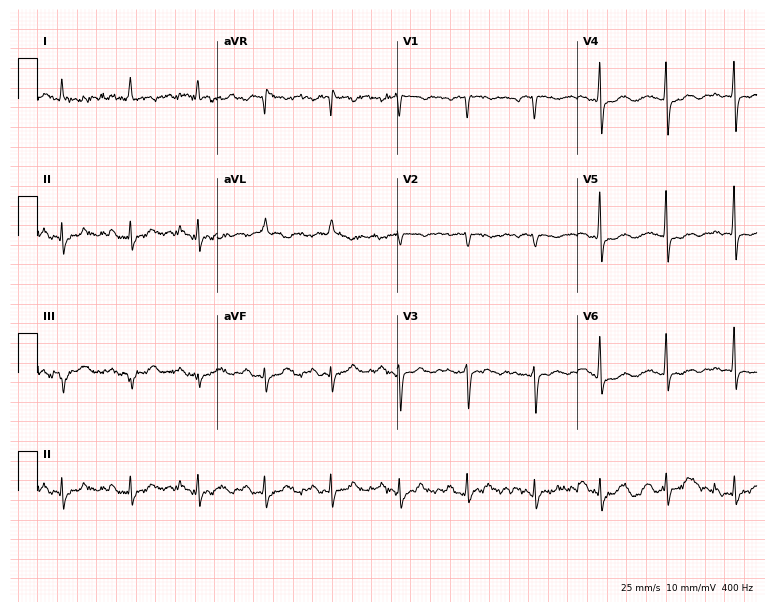
Resting 12-lead electrocardiogram. Patient: a female, 86 years old. None of these six findings is recorded: first-degree AV block, right bundle branch block, left bundle branch block, sinus bradycardia, atrial fibrillation, sinus tachycardia. Findings outside these six are not listed.